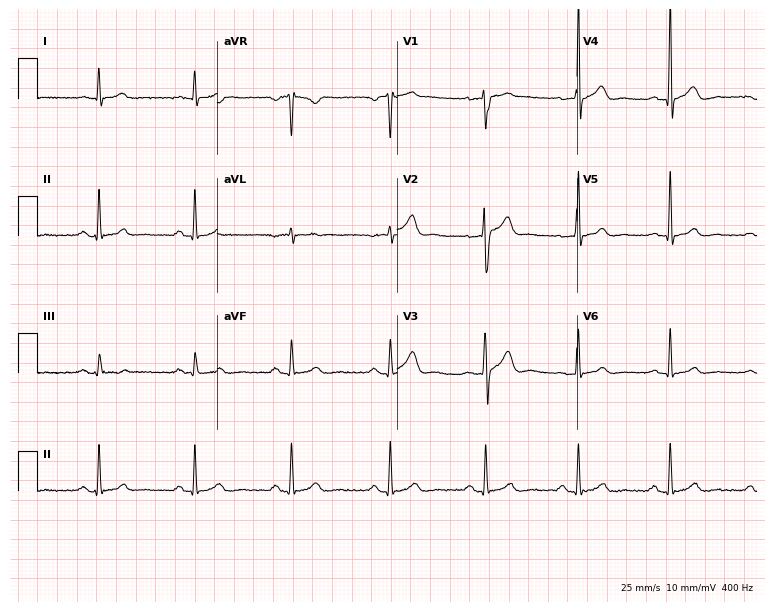
ECG — a male patient, 38 years old. Screened for six findings — first-degree AV block, right bundle branch block, left bundle branch block, sinus bradycardia, atrial fibrillation, sinus tachycardia — none is recorded.